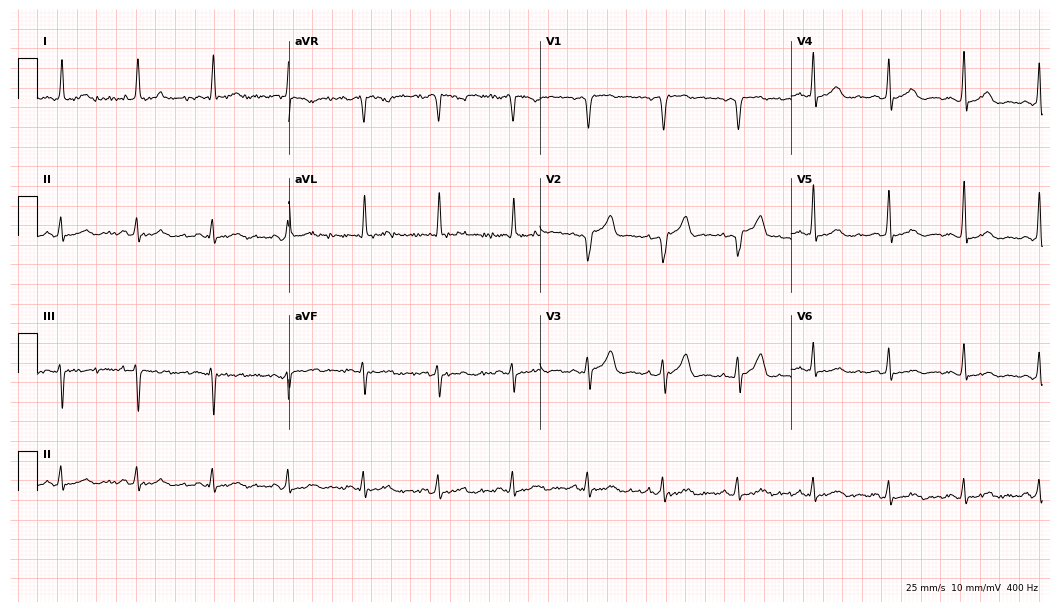
Electrocardiogram (10.2-second recording at 400 Hz), a 74-year-old man. Of the six screened findings (first-degree AV block, right bundle branch block (RBBB), left bundle branch block (LBBB), sinus bradycardia, atrial fibrillation (AF), sinus tachycardia), none is recorded. Only these six findings were labelled.